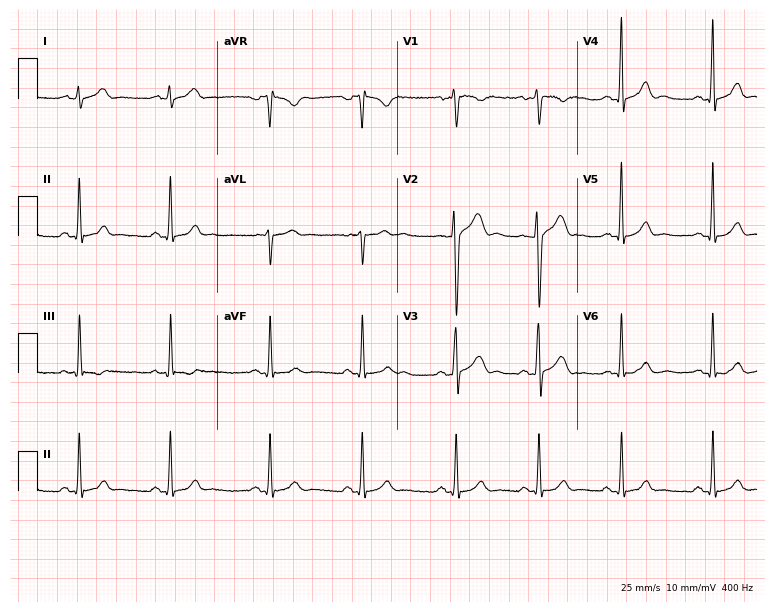
ECG (7.3-second recording at 400 Hz) — a male, 19 years old. Screened for six findings — first-degree AV block, right bundle branch block, left bundle branch block, sinus bradycardia, atrial fibrillation, sinus tachycardia — none is recorded. Other findings, if any, are not listed.